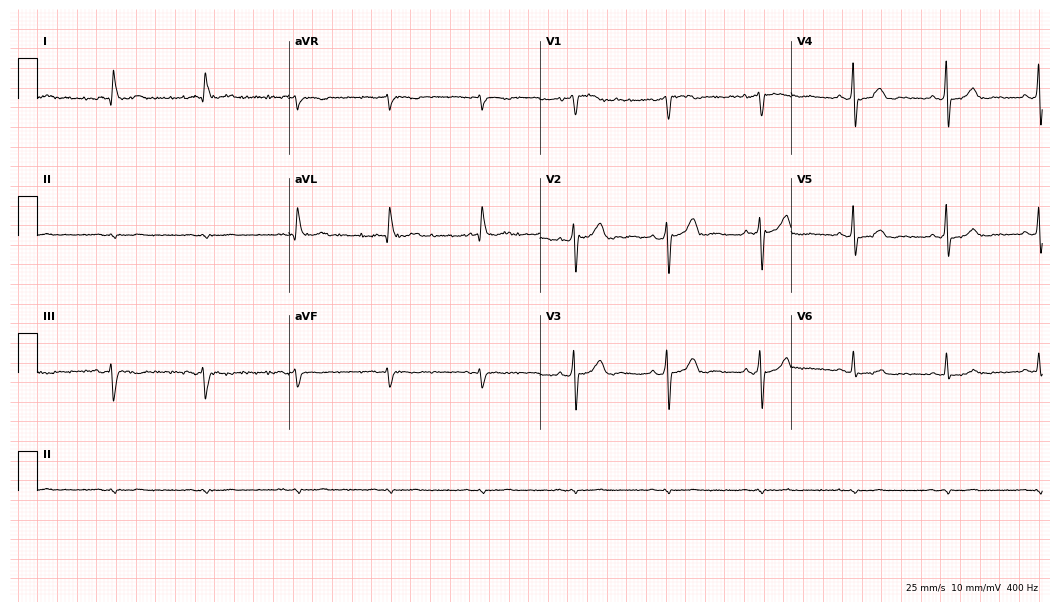
12-lead ECG from a male, 68 years old. Screened for six findings — first-degree AV block, right bundle branch block, left bundle branch block, sinus bradycardia, atrial fibrillation, sinus tachycardia — none is recorded. Findings outside these six are not listed.